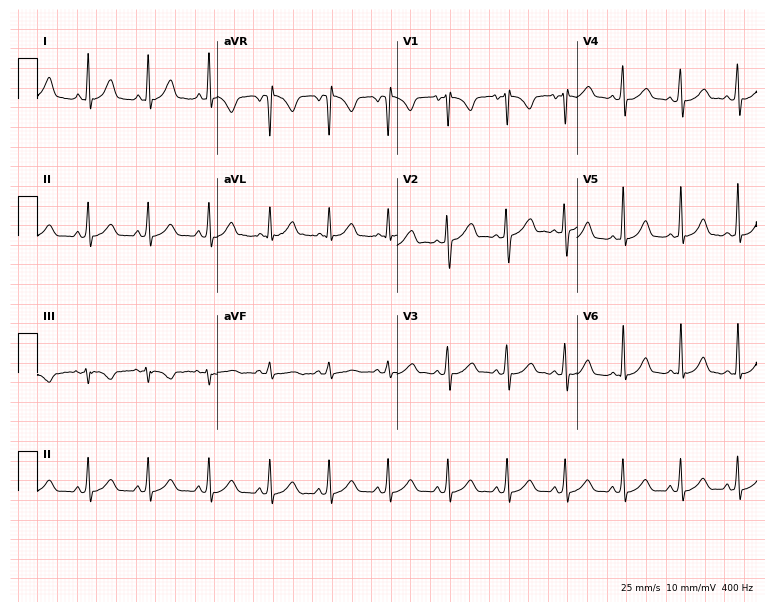
Standard 12-lead ECG recorded from a 22-year-old female. None of these six findings is recorded: first-degree AV block, right bundle branch block, left bundle branch block, sinus bradycardia, atrial fibrillation, sinus tachycardia. Only these six findings were labelled.